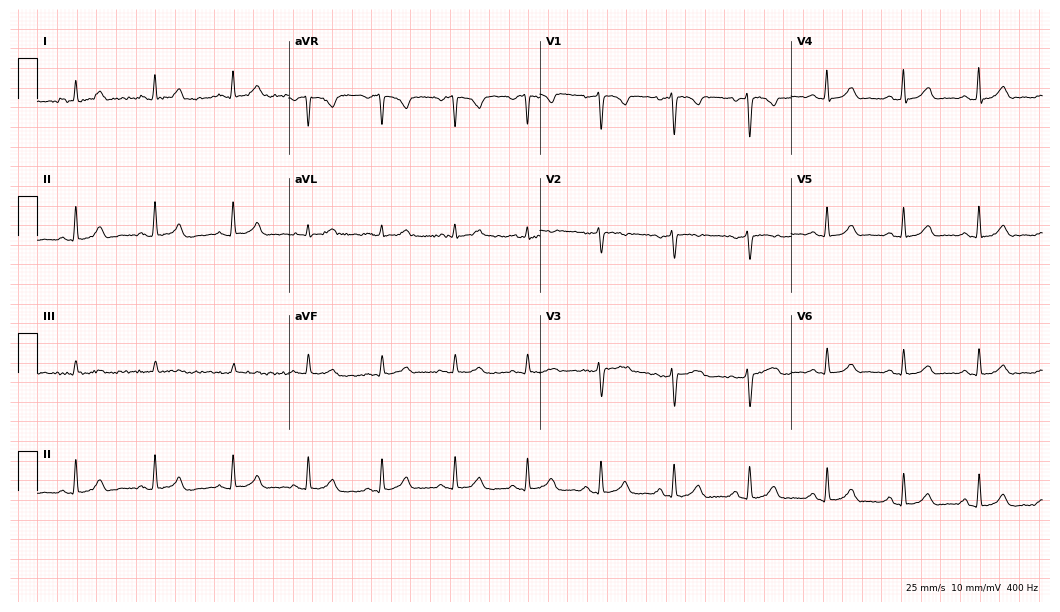
12-lead ECG from a 35-year-old female. Labelled as a normal ECG.